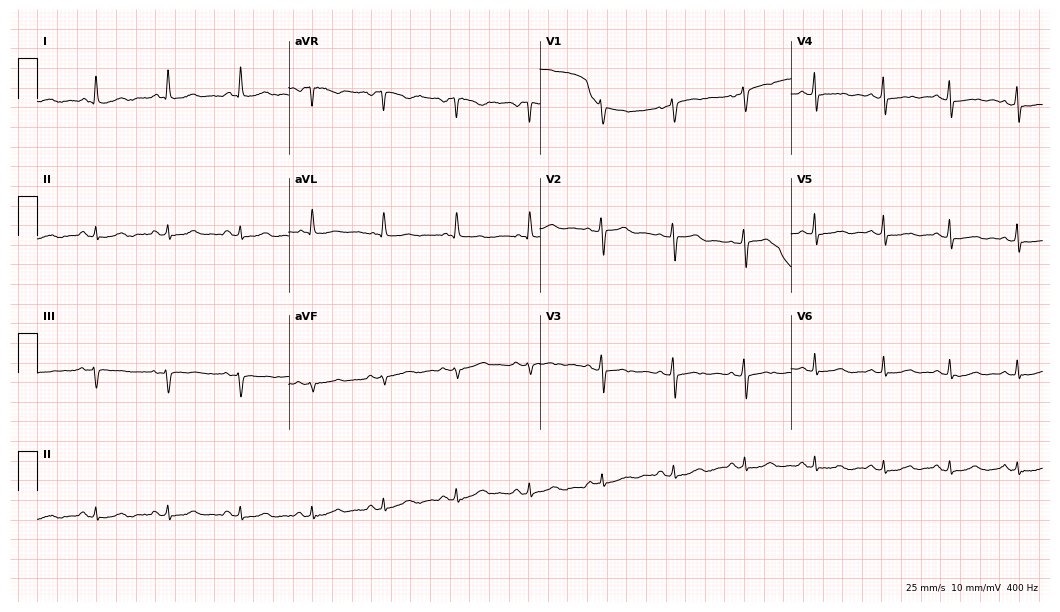
Resting 12-lead electrocardiogram (10.2-second recording at 400 Hz). Patient: a woman, 36 years old. Read as a normal ECG.